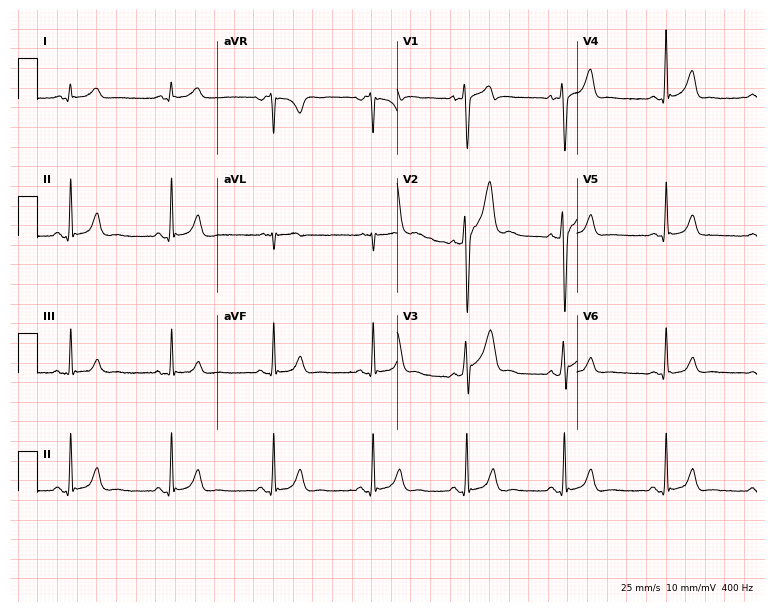
Resting 12-lead electrocardiogram. Patient: a 21-year-old male. Read as a normal ECG.